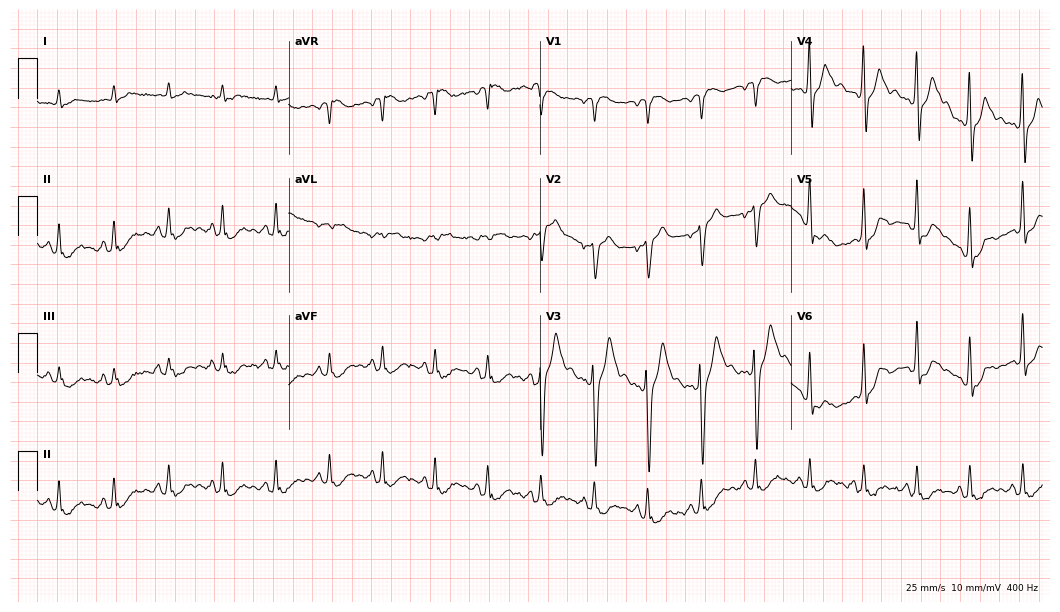
ECG (10.2-second recording at 400 Hz) — a man, 71 years old. Screened for six findings — first-degree AV block, right bundle branch block, left bundle branch block, sinus bradycardia, atrial fibrillation, sinus tachycardia — none is recorded.